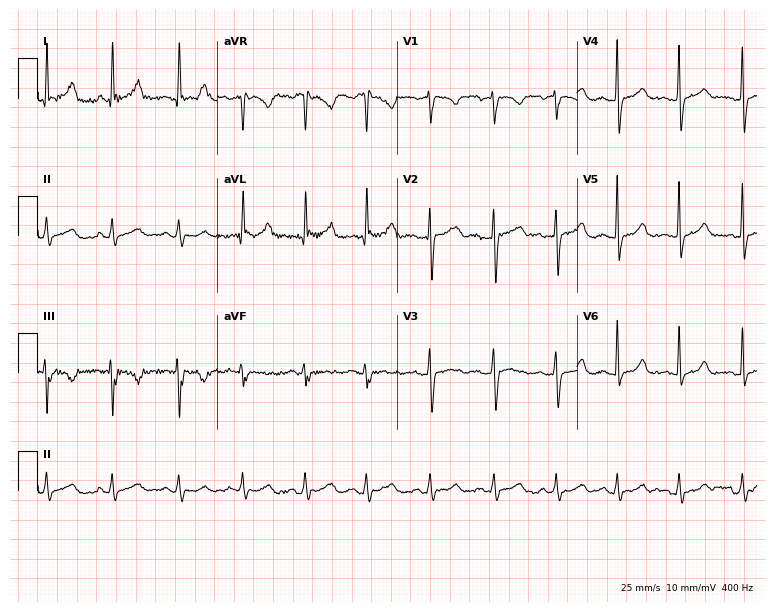
12-lead ECG (7.3-second recording at 400 Hz) from a female patient, 29 years old. Labelled as a normal ECG.